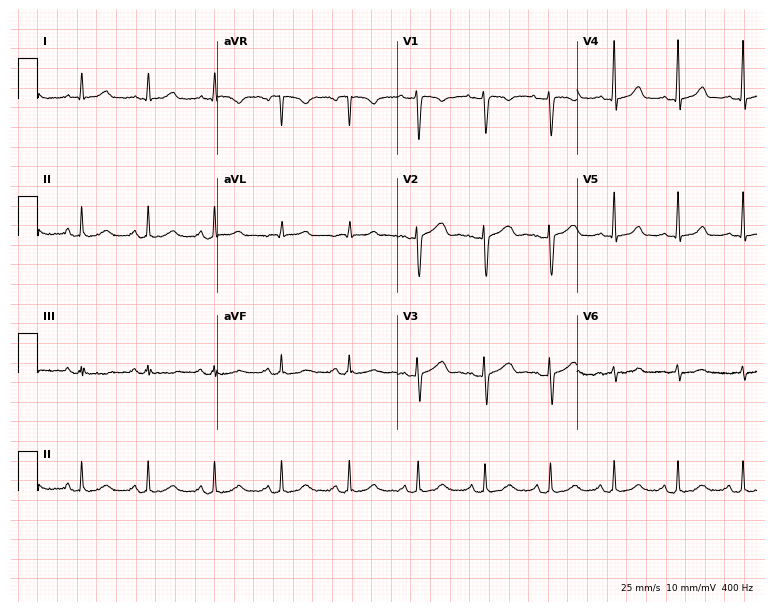
Electrocardiogram (7.3-second recording at 400 Hz), a 32-year-old female. Overall reading on record: normal ECG.